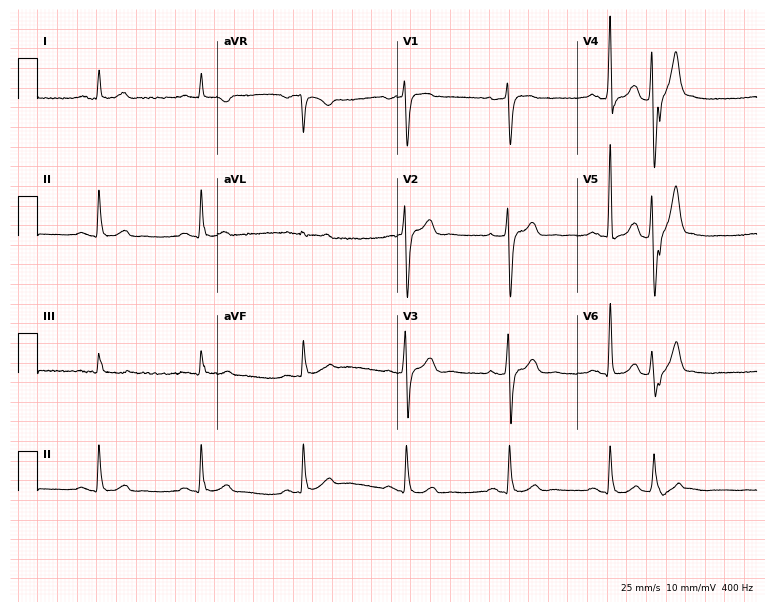
Electrocardiogram, a man, 65 years old. Of the six screened findings (first-degree AV block, right bundle branch block (RBBB), left bundle branch block (LBBB), sinus bradycardia, atrial fibrillation (AF), sinus tachycardia), none is recorded. Findings outside these six are not listed.